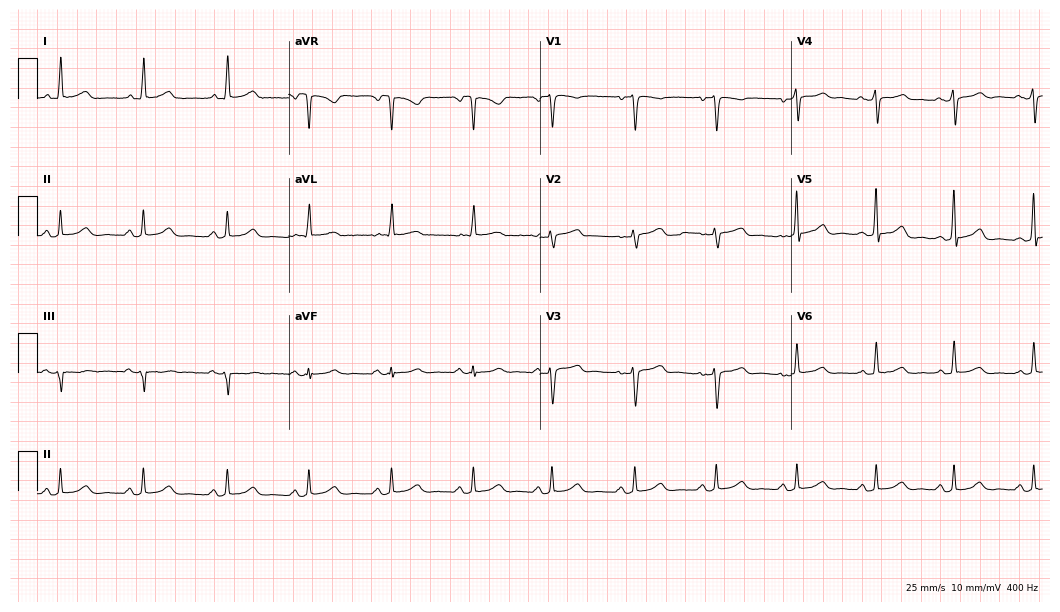
12-lead ECG from a 45-year-old female patient. Recorded interpretation: within normal limits.